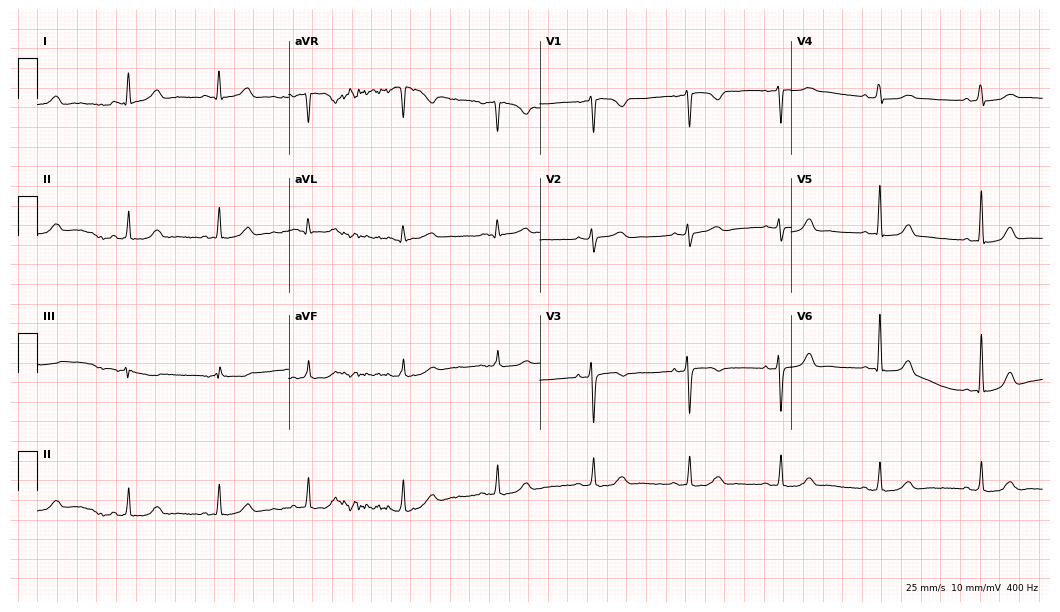
Resting 12-lead electrocardiogram. Patient: a 36-year-old female. Read as a normal ECG.